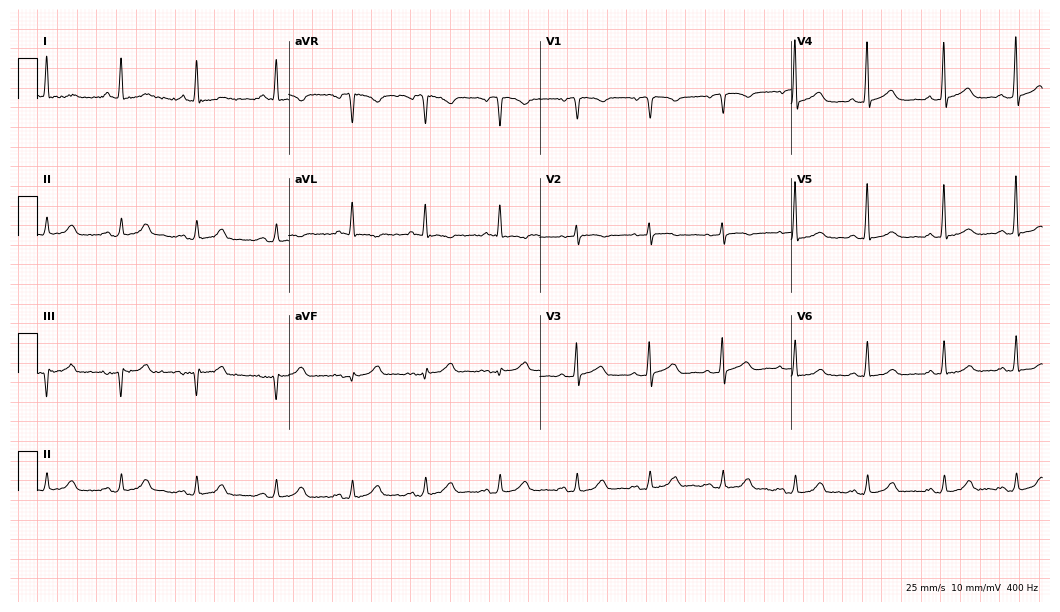
12-lead ECG from a 70-year-old male patient. Labelled as a normal ECG.